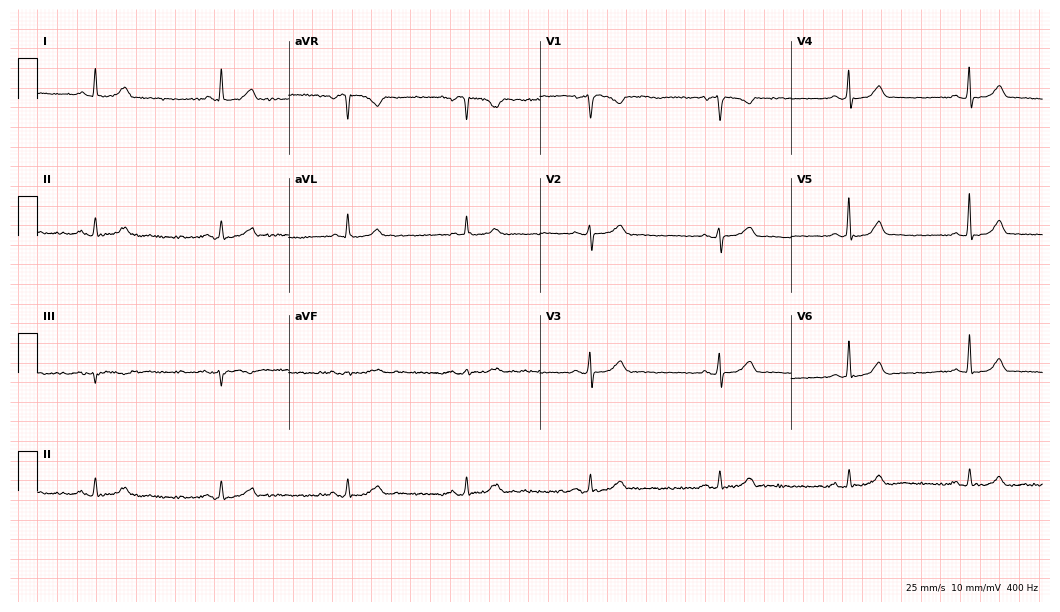
Electrocardiogram, a female, 58 years old. Overall reading on record: normal ECG.